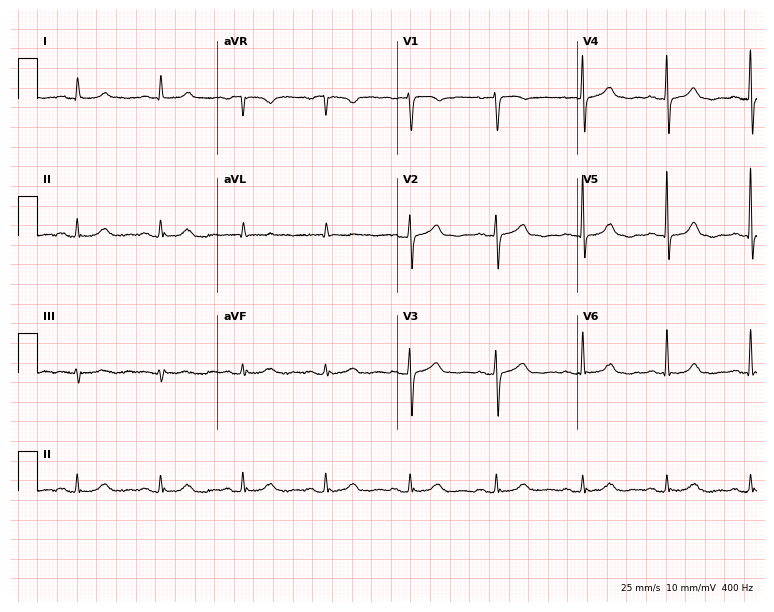
Resting 12-lead electrocardiogram (7.3-second recording at 400 Hz). Patient: an 87-year-old female. Read as a normal ECG.